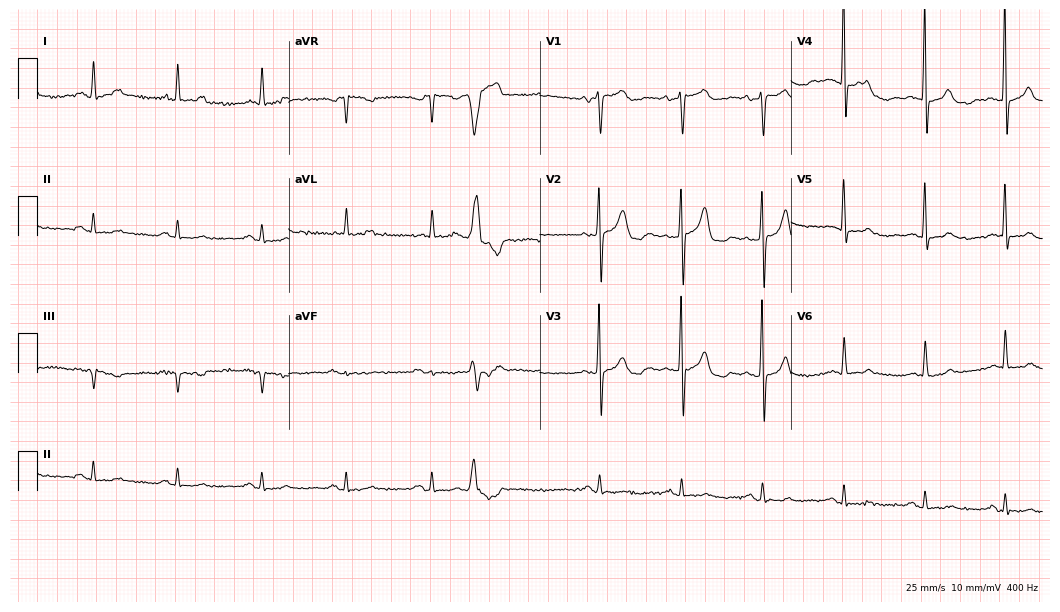
ECG (10.2-second recording at 400 Hz) — an 80-year-old man. Screened for six findings — first-degree AV block, right bundle branch block (RBBB), left bundle branch block (LBBB), sinus bradycardia, atrial fibrillation (AF), sinus tachycardia — none is recorded. Other findings, if any, are not listed.